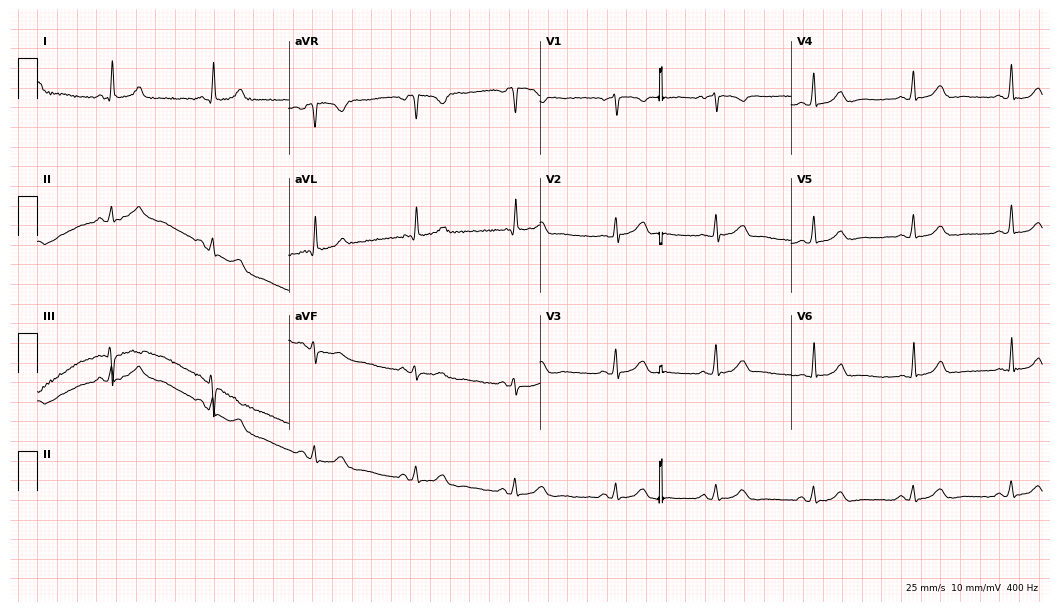
12-lead ECG from a female patient, 60 years old (10.2-second recording at 400 Hz). No first-degree AV block, right bundle branch block, left bundle branch block, sinus bradycardia, atrial fibrillation or sinus tachycardia recorded for this tracing. Findings outside these six are not listed.